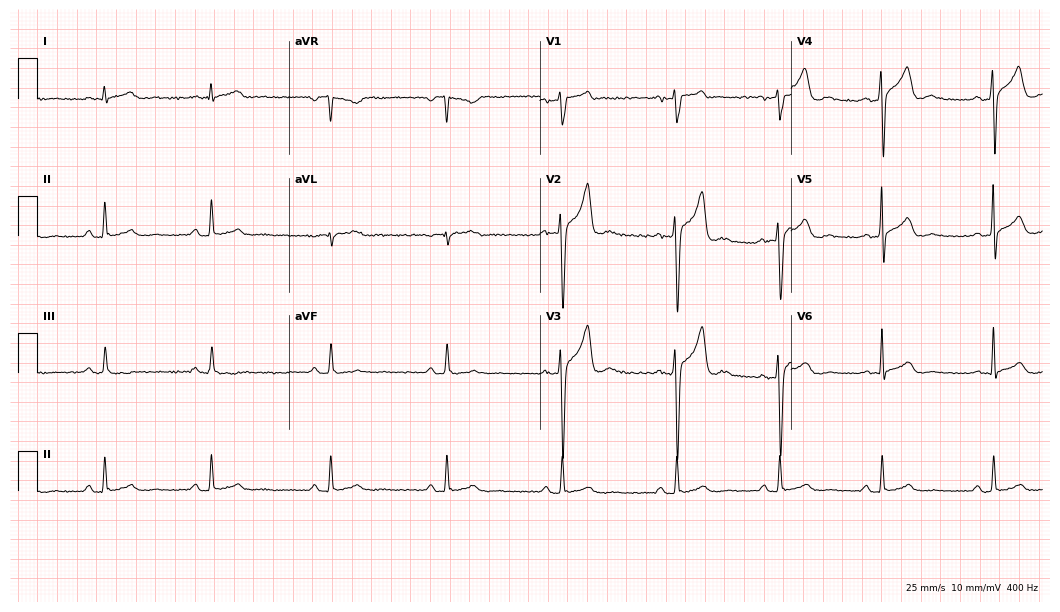
Electrocardiogram, a 42-year-old male patient. Of the six screened findings (first-degree AV block, right bundle branch block, left bundle branch block, sinus bradycardia, atrial fibrillation, sinus tachycardia), none is recorded.